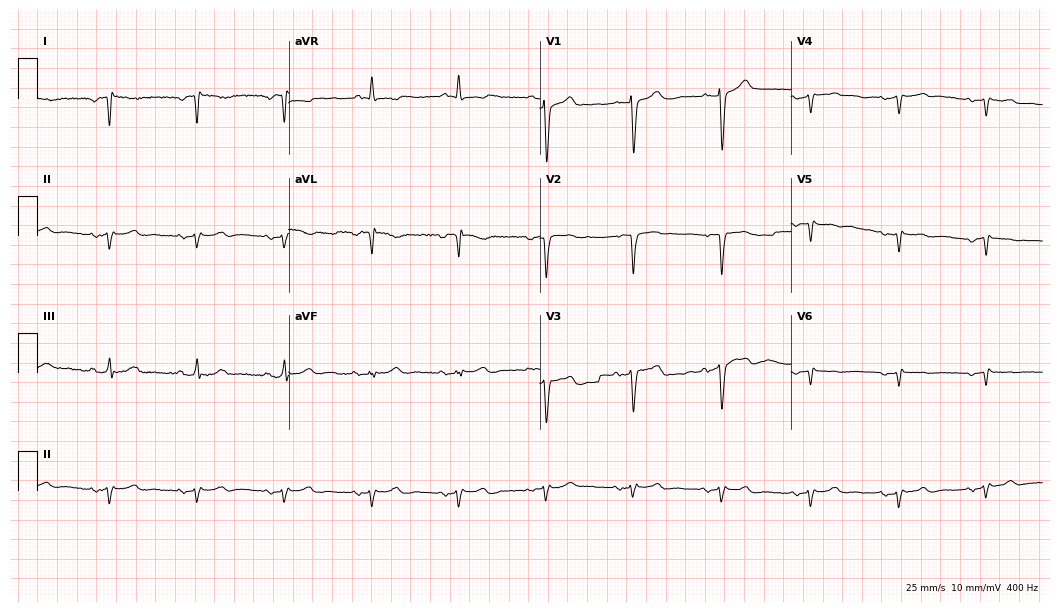
Standard 12-lead ECG recorded from a male, 57 years old (10.2-second recording at 400 Hz). None of these six findings is recorded: first-degree AV block, right bundle branch block (RBBB), left bundle branch block (LBBB), sinus bradycardia, atrial fibrillation (AF), sinus tachycardia.